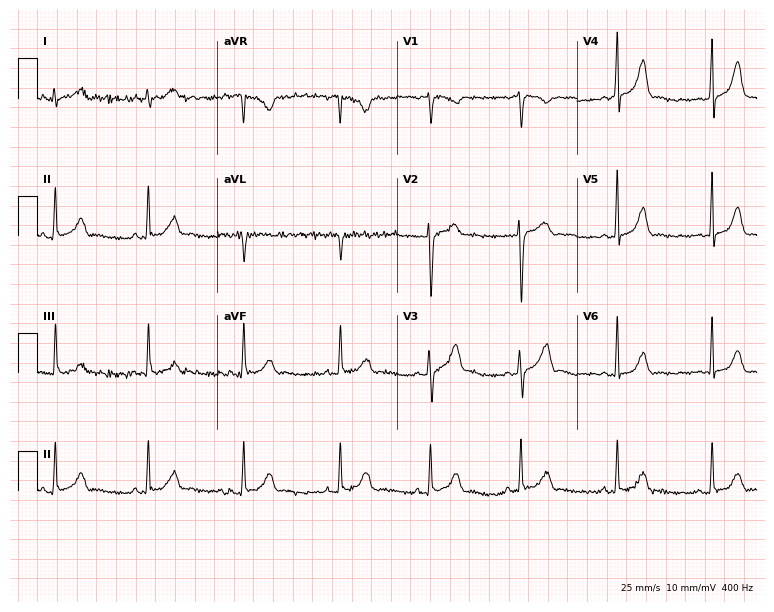
12-lead ECG (7.3-second recording at 400 Hz) from a 33-year-old woman. Screened for six findings — first-degree AV block, right bundle branch block, left bundle branch block, sinus bradycardia, atrial fibrillation, sinus tachycardia — none is recorded.